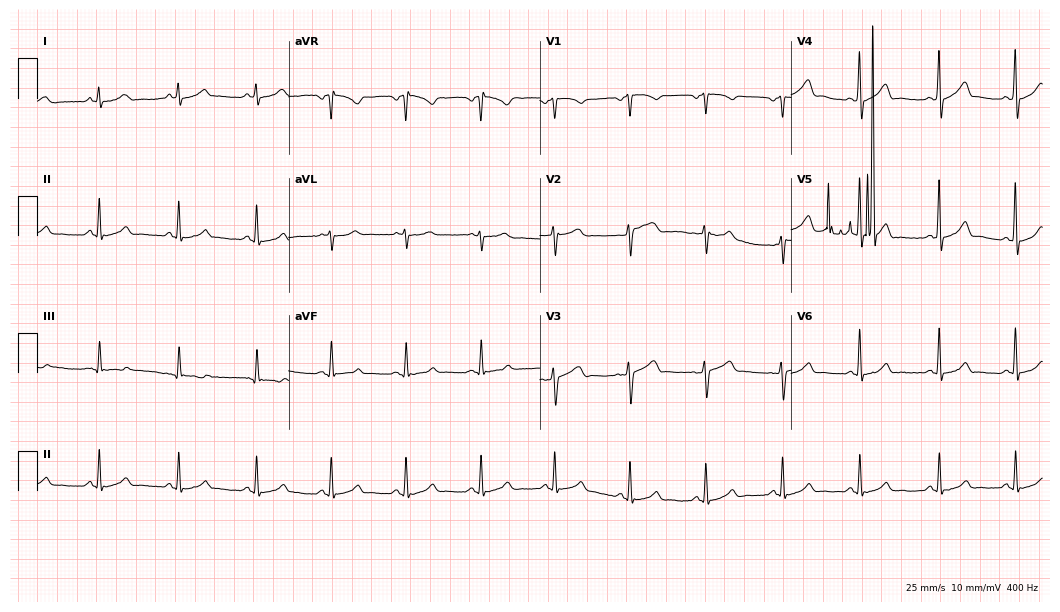
Electrocardiogram, a male, 53 years old. Of the six screened findings (first-degree AV block, right bundle branch block, left bundle branch block, sinus bradycardia, atrial fibrillation, sinus tachycardia), none is recorded.